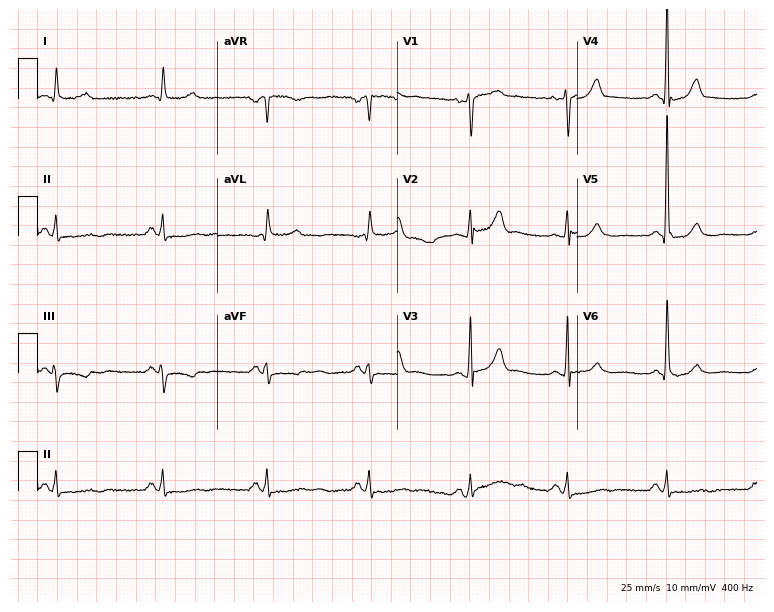
Standard 12-lead ECG recorded from a man, 75 years old (7.3-second recording at 400 Hz). Read as a normal ECG.